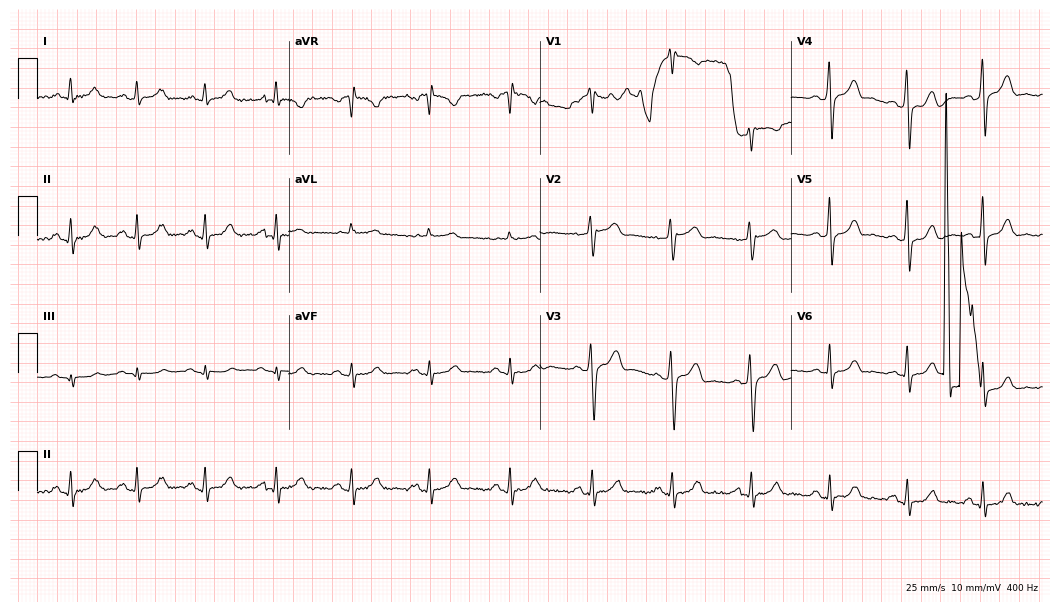
12-lead ECG from a 60-year-old male. No first-degree AV block, right bundle branch block (RBBB), left bundle branch block (LBBB), sinus bradycardia, atrial fibrillation (AF) or sinus tachycardia recorded for this tracing.